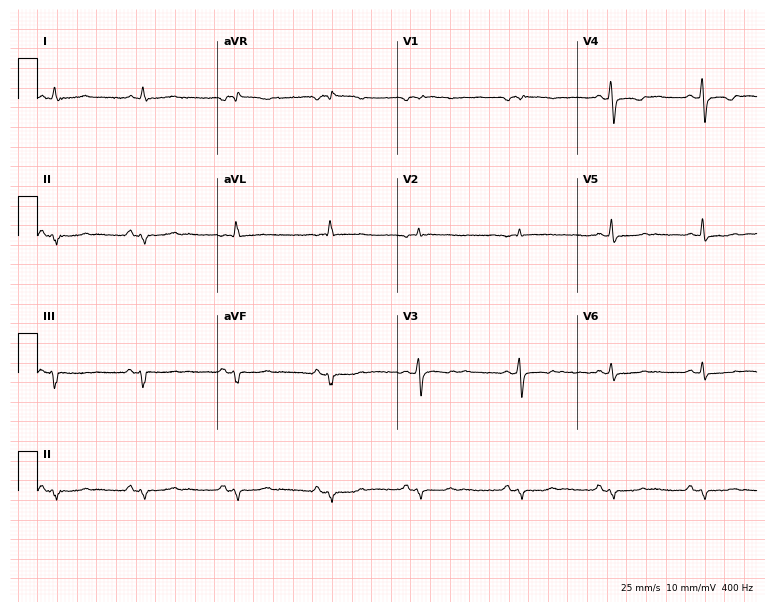
Resting 12-lead electrocardiogram. Patient: a man, 83 years old. None of these six findings is recorded: first-degree AV block, right bundle branch block, left bundle branch block, sinus bradycardia, atrial fibrillation, sinus tachycardia. Other findings, if any, are not listed.